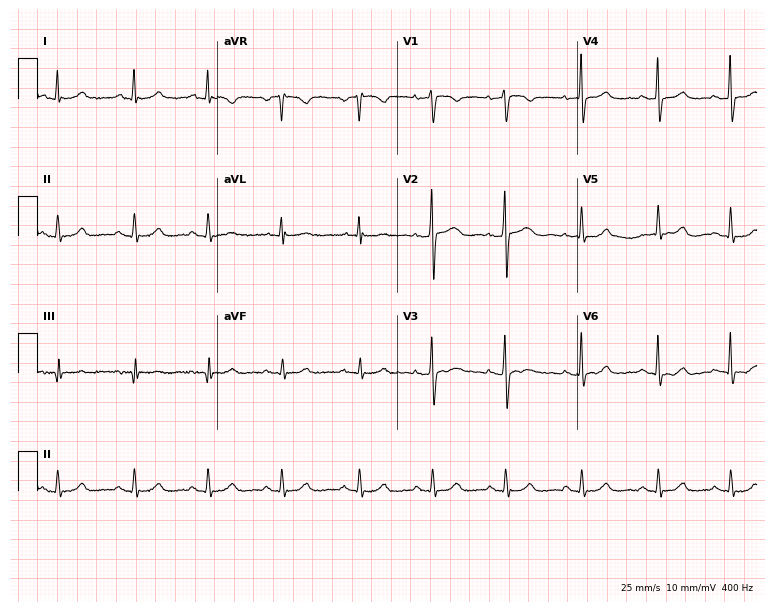
Electrocardiogram, a female patient, 52 years old. Overall reading on record: normal ECG.